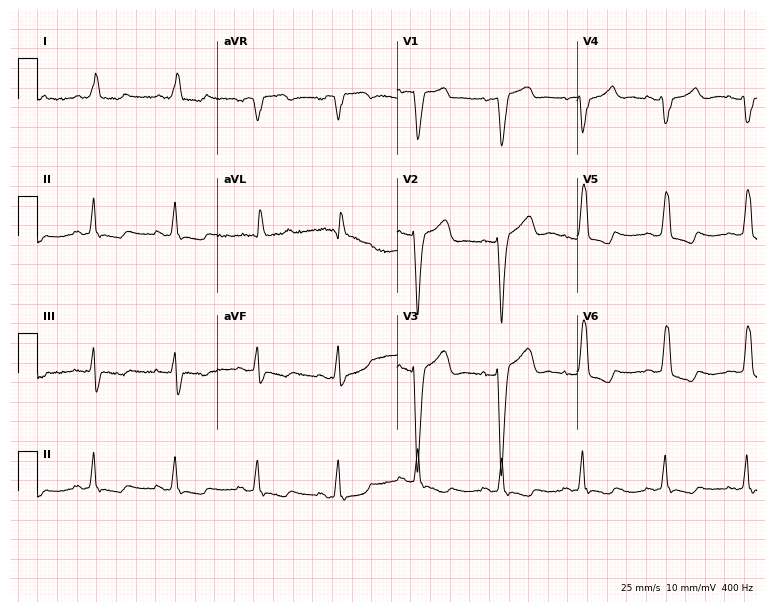
Electrocardiogram (7.3-second recording at 400 Hz), a 79-year-old female. Interpretation includes left bundle branch block.